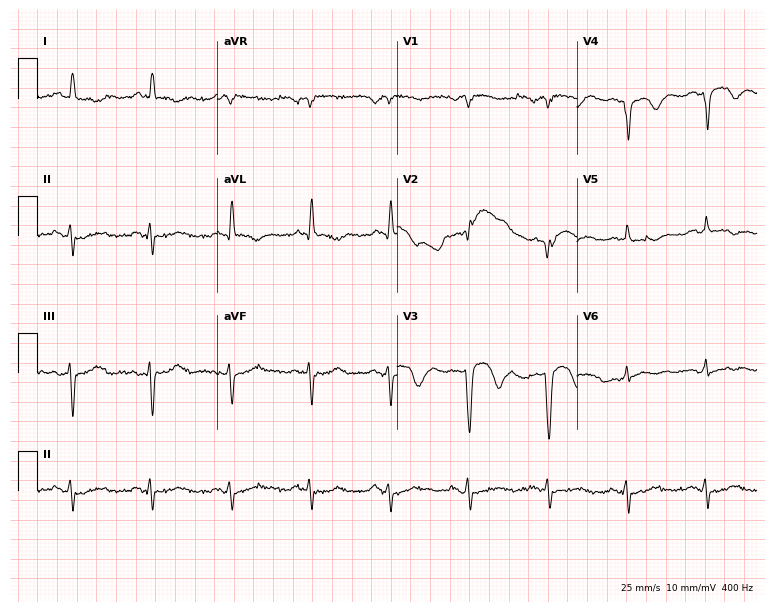
Electrocardiogram (7.3-second recording at 400 Hz), an 81-year-old male patient. Of the six screened findings (first-degree AV block, right bundle branch block, left bundle branch block, sinus bradycardia, atrial fibrillation, sinus tachycardia), none is recorded.